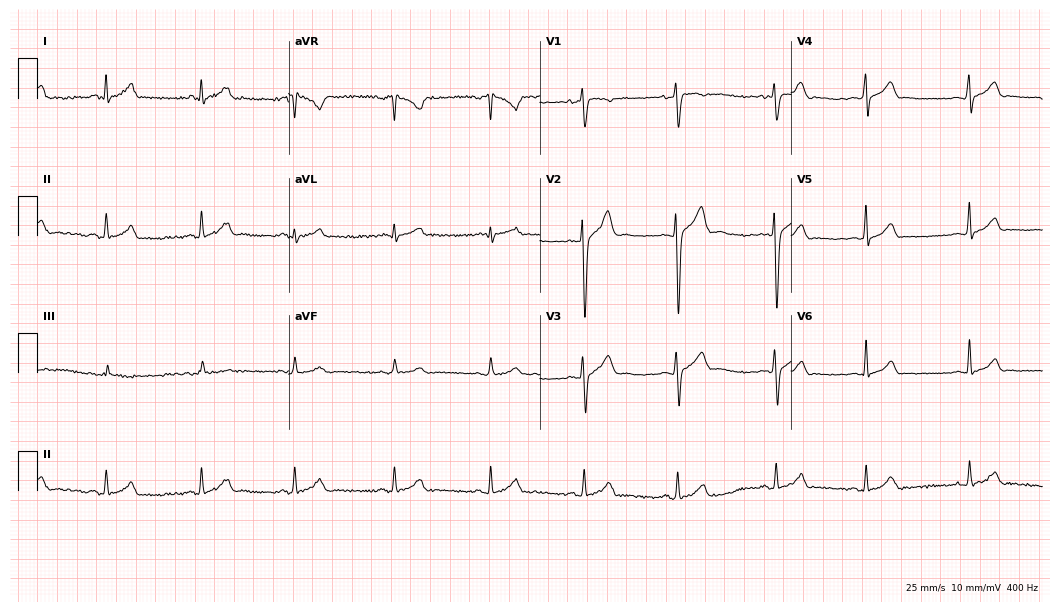
Resting 12-lead electrocardiogram (10.2-second recording at 400 Hz). Patient: a male, 23 years old. Read as a normal ECG.